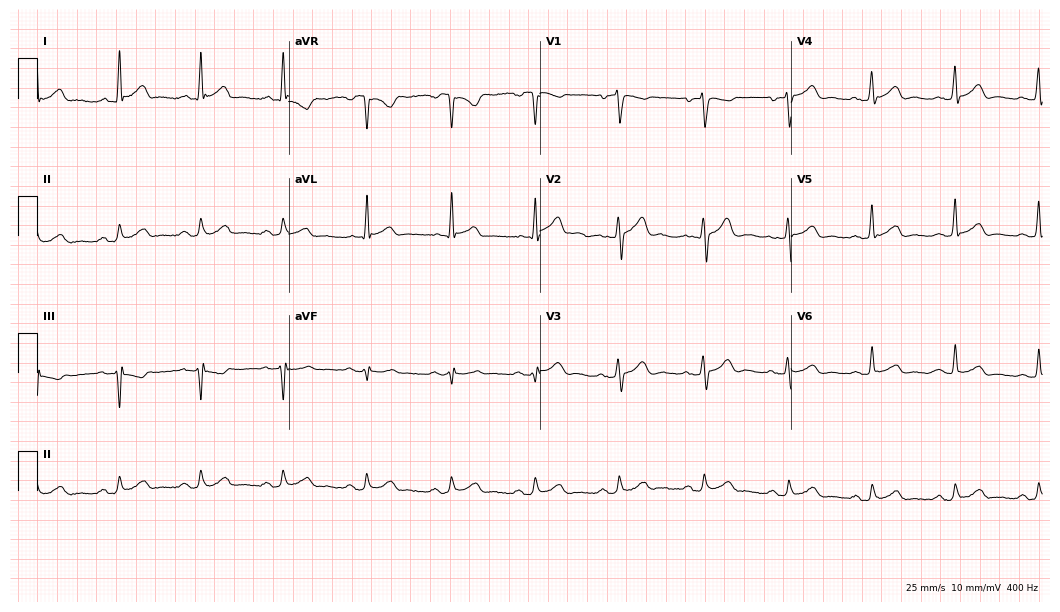
Resting 12-lead electrocardiogram. Patient: a 49-year-old male. Read as a normal ECG.